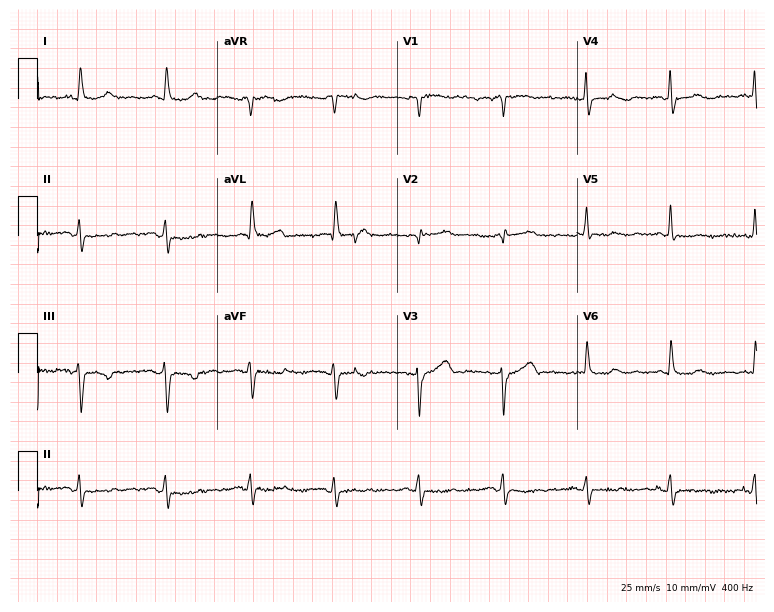
ECG — a female patient, 75 years old. Screened for six findings — first-degree AV block, right bundle branch block, left bundle branch block, sinus bradycardia, atrial fibrillation, sinus tachycardia — none is recorded. Only these six findings were labelled.